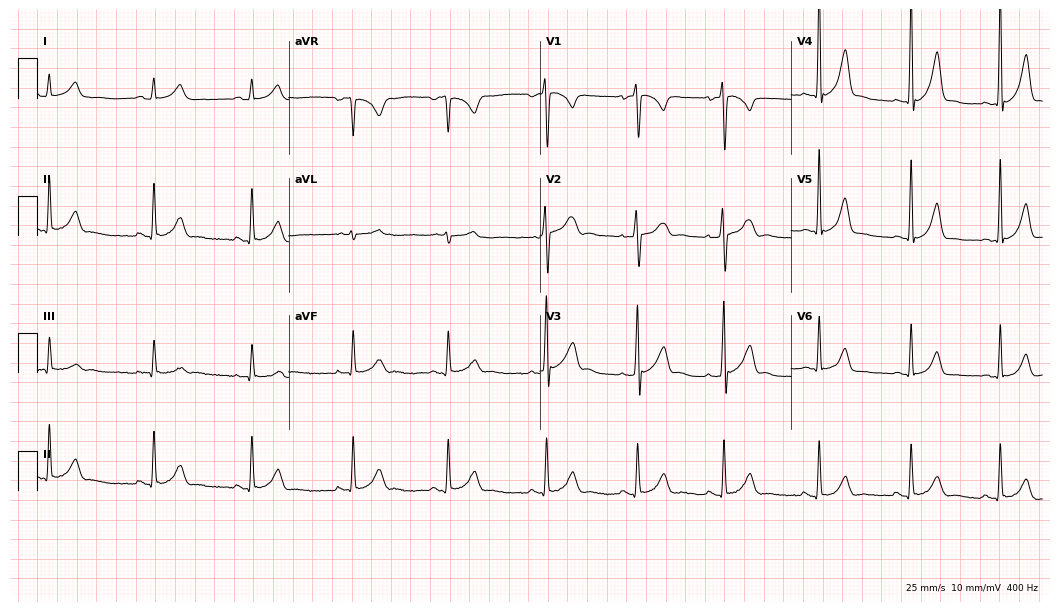
12-lead ECG from a male patient, 18 years old (10.2-second recording at 400 Hz). Recorded interpretation: within normal limits.